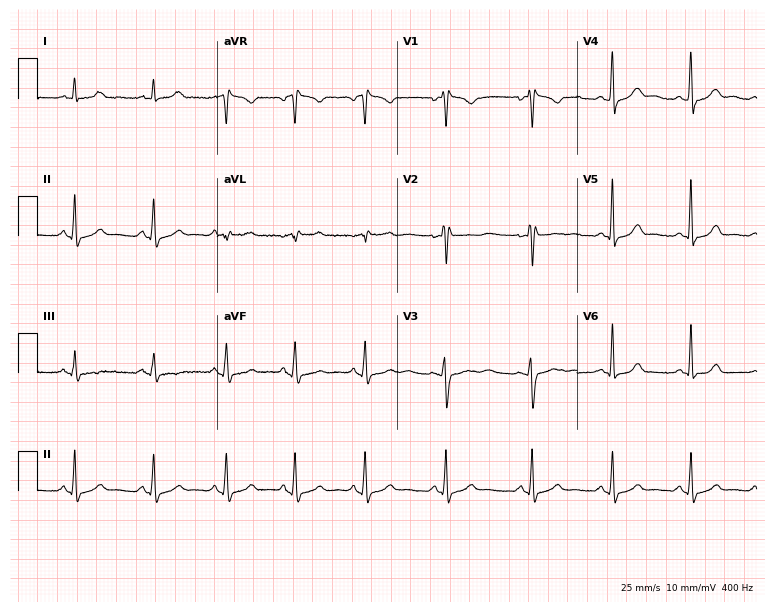
Standard 12-lead ECG recorded from a 33-year-old female patient (7.3-second recording at 400 Hz). None of these six findings is recorded: first-degree AV block, right bundle branch block, left bundle branch block, sinus bradycardia, atrial fibrillation, sinus tachycardia.